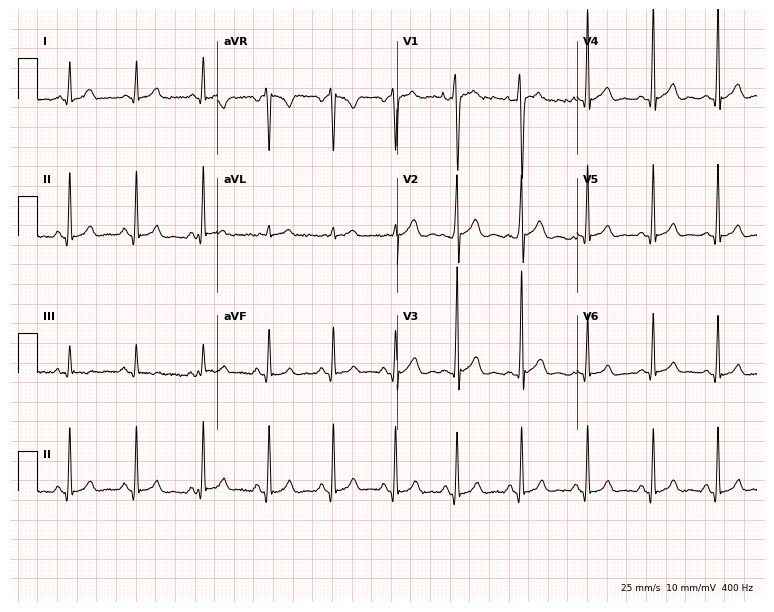
Standard 12-lead ECG recorded from a 22-year-old male patient. Read as a normal ECG.